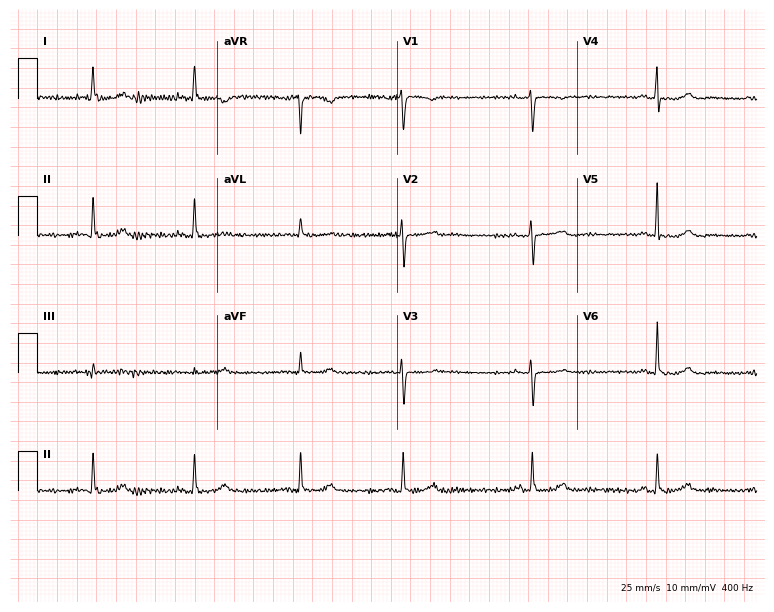
ECG — a female patient, 69 years old. Labelled as a normal ECG.